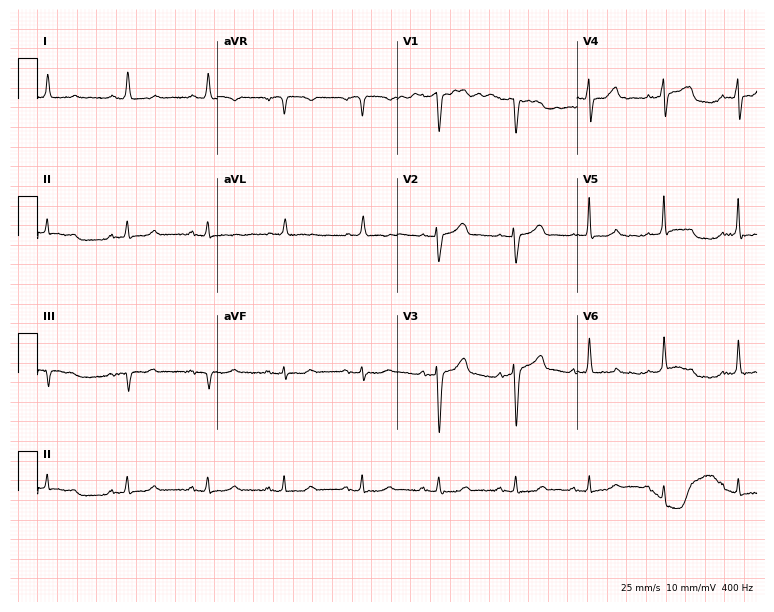
Resting 12-lead electrocardiogram. Patient: a male, 77 years old. None of these six findings is recorded: first-degree AV block, right bundle branch block, left bundle branch block, sinus bradycardia, atrial fibrillation, sinus tachycardia. Only these six findings were labelled.